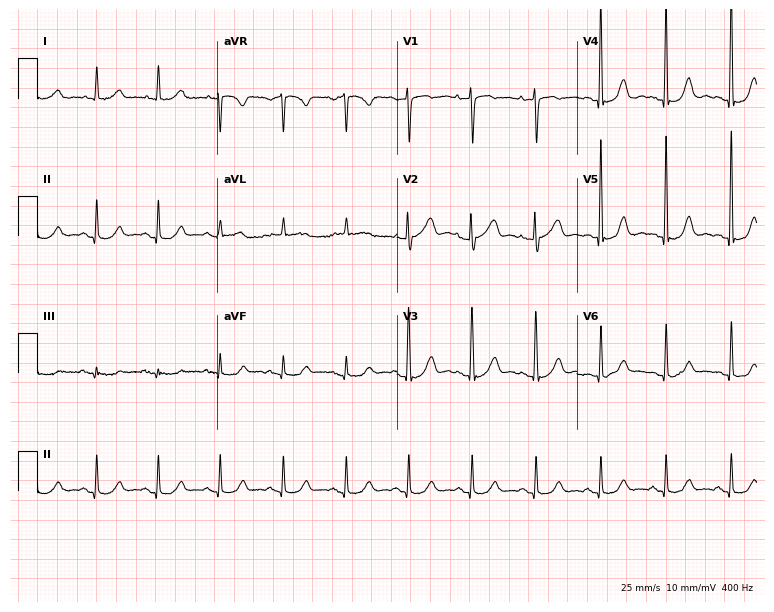
Resting 12-lead electrocardiogram (7.3-second recording at 400 Hz). Patient: a 76-year-old female. None of these six findings is recorded: first-degree AV block, right bundle branch block (RBBB), left bundle branch block (LBBB), sinus bradycardia, atrial fibrillation (AF), sinus tachycardia.